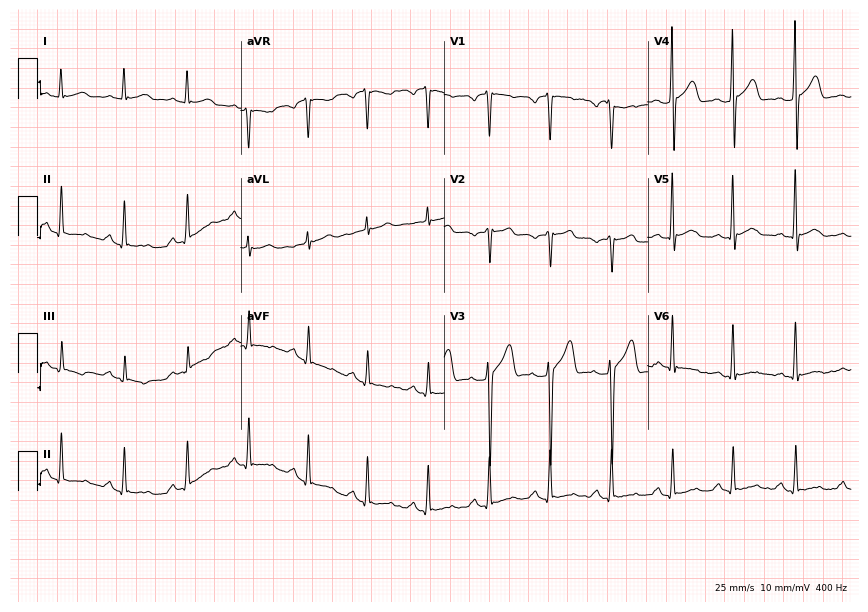
ECG (8.3-second recording at 400 Hz) — a male, 34 years old. Labelled as a normal ECG.